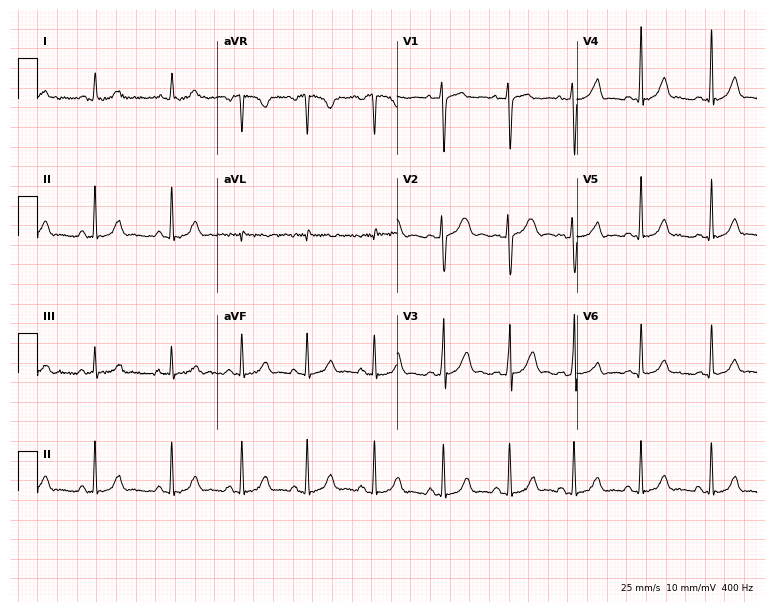
ECG (7.3-second recording at 400 Hz) — a 21-year-old female patient. Screened for six findings — first-degree AV block, right bundle branch block (RBBB), left bundle branch block (LBBB), sinus bradycardia, atrial fibrillation (AF), sinus tachycardia — none is recorded.